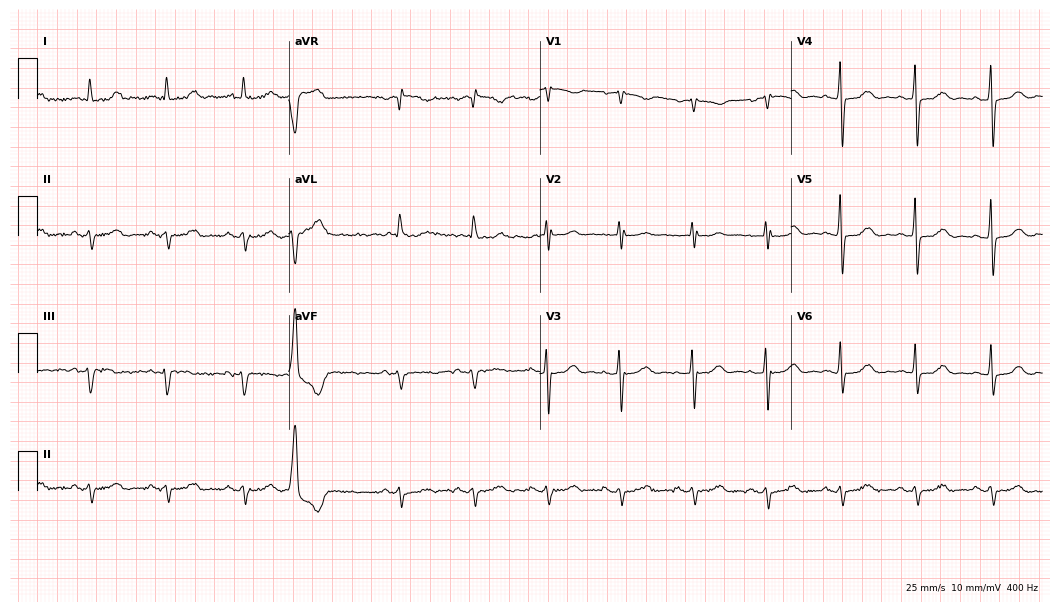
ECG (10.2-second recording at 400 Hz) — a 70-year-old female. Screened for six findings — first-degree AV block, right bundle branch block, left bundle branch block, sinus bradycardia, atrial fibrillation, sinus tachycardia — none is recorded. Only these six findings were labelled.